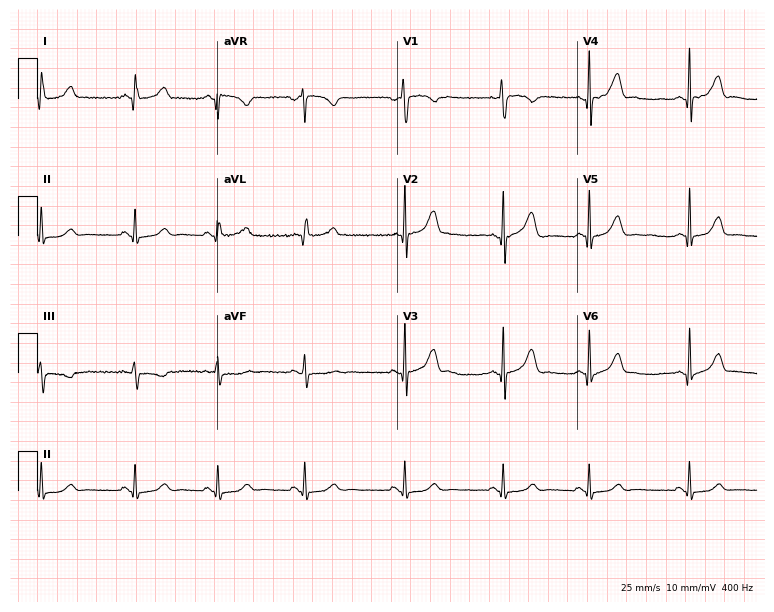
12-lead ECG (7.3-second recording at 400 Hz) from a 20-year-old female. Screened for six findings — first-degree AV block, right bundle branch block, left bundle branch block, sinus bradycardia, atrial fibrillation, sinus tachycardia — none is recorded. Only these six findings were labelled.